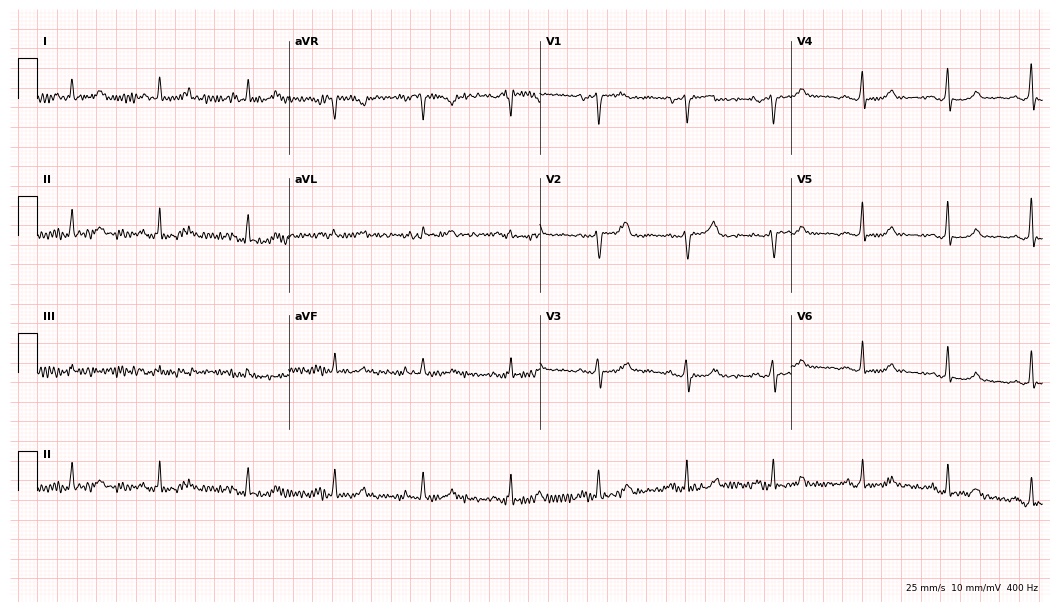
12-lead ECG (10.2-second recording at 400 Hz) from a female patient, 73 years old. Screened for six findings — first-degree AV block, right bundle branch block (RBBB), left bundle branch block (LBBB), sinus bradycardia, atrial fibrillation (AF), sinus tachycardia — none is recorded.